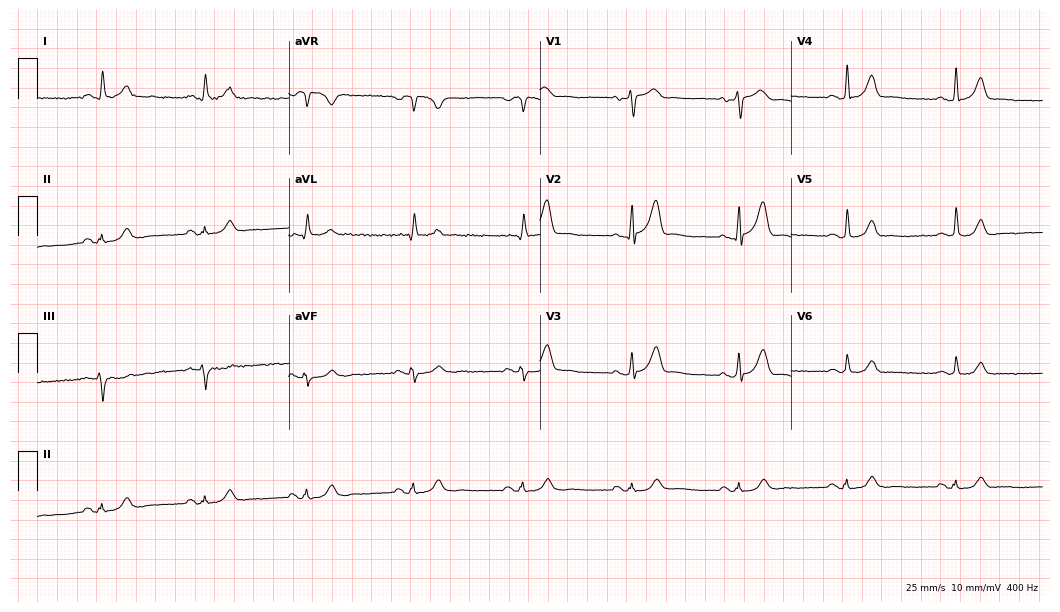
Standard 12-lead ECG recorded from a male, 71 years old. None of these six findings is recorded: first-degree AV block, right bundle branch block (RBBB), left bundle branch block (LBBB), sinus bradycardia, atrial fibrillation (AF), sinus tachycardia. Findings outside these six are not listed.